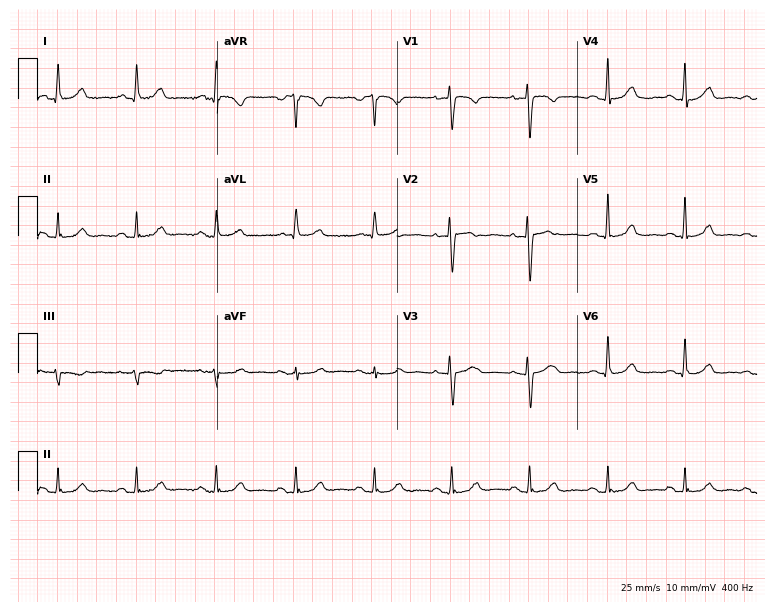
Electrocardiogram (7.3-second recording at 400 Hz), a woman, 76 years old. Of the six screened findings (first-degree AV block, right bundle branch block (RBBB), left bundle branch block (LBBB), sinus bradycardia, atrial fibrillation (AF), sinus tachycardia), none is recorded.